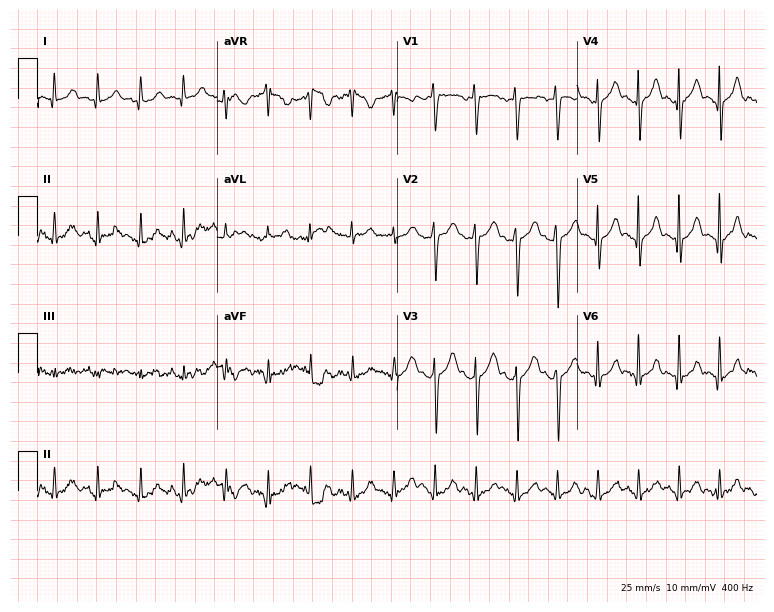
Electrocardiogram (7.3-second recording at 400 Hz), a male patient, 34 years old. Interpretation includes sinus tachycardia (a sinus rate of 100 beats per minute or more).